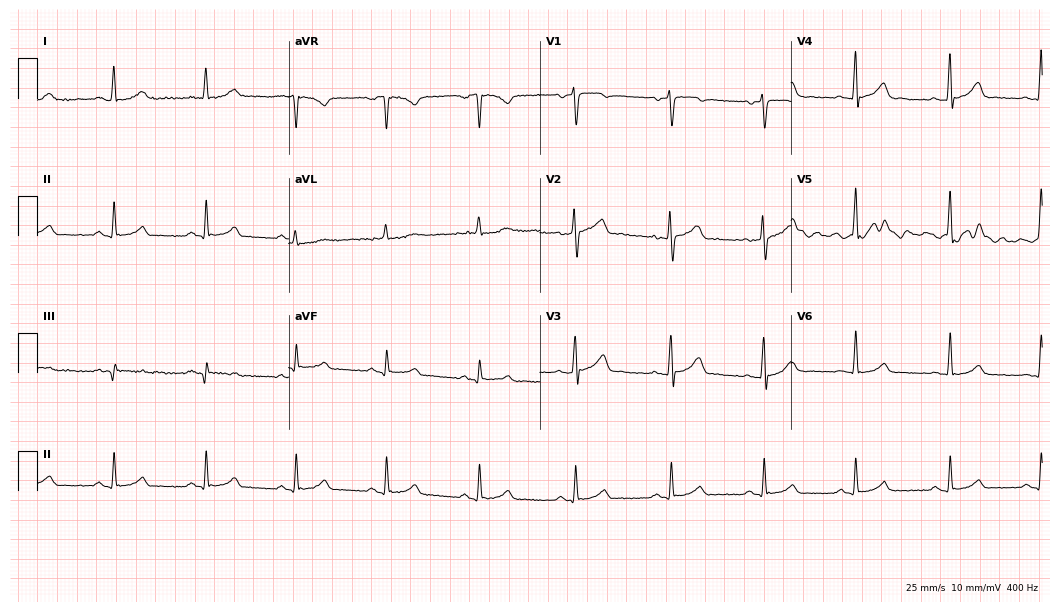
Electrocardiogram, a 43-year-old man. Of the six screened findings (first-degree AV block, right bundle branch block, left bundle branch block, sinus bradycardia, atrial fibrillation, sinus tachycardia), none is recorded. Only these six findings were labelled.